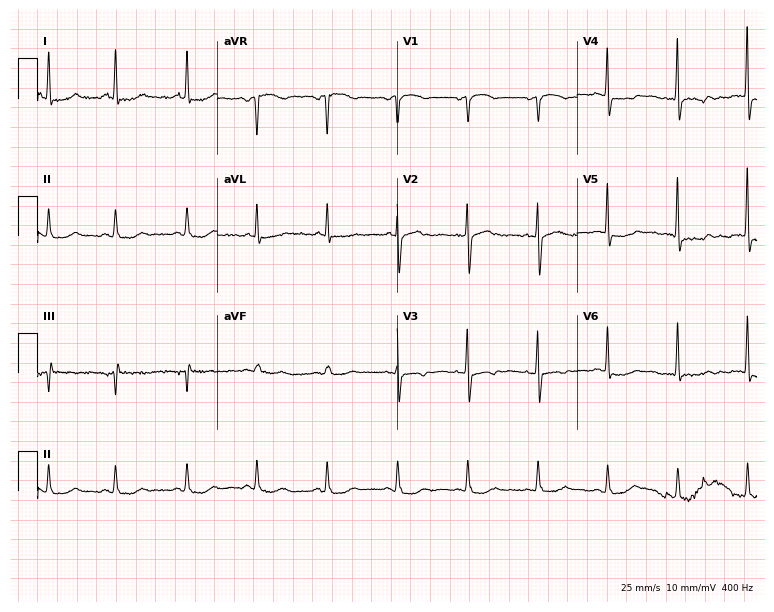
Resting 12-lead electrocardiogram. Patient: a female, 82 years old. None of these six findings is recorded: first-degree AV block, right bundle branch block (RBBB), left bundle branch block (LBBB), sinus bradycardia, atrial fibrillation (AF), sinus tachycardia. Findings outside these six are not listed.